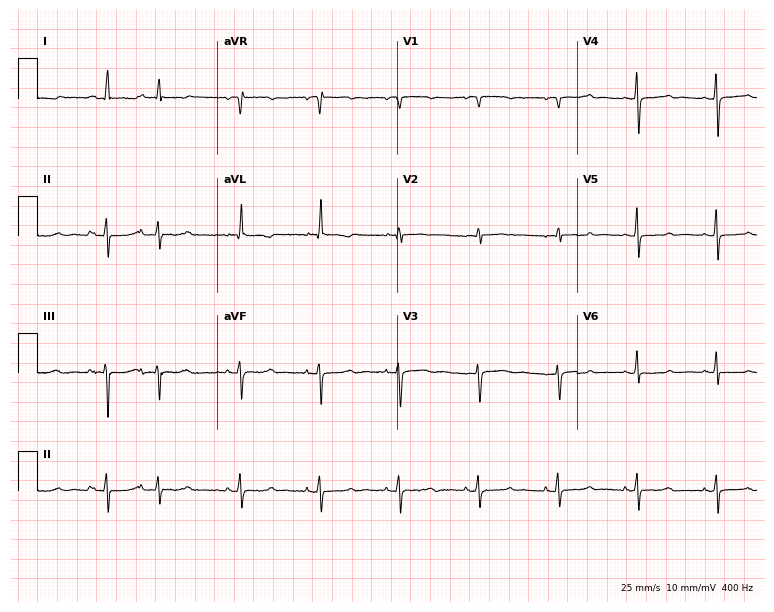
ECG (7.3-second recording at 400 Hz) — a female, 78 years old. Screened for six findings — first-degree AV block, right bundle branch block, left bundle branch block, sinus bradycardia, atrial fibrillation, sinus tachycardia — none is recorded.